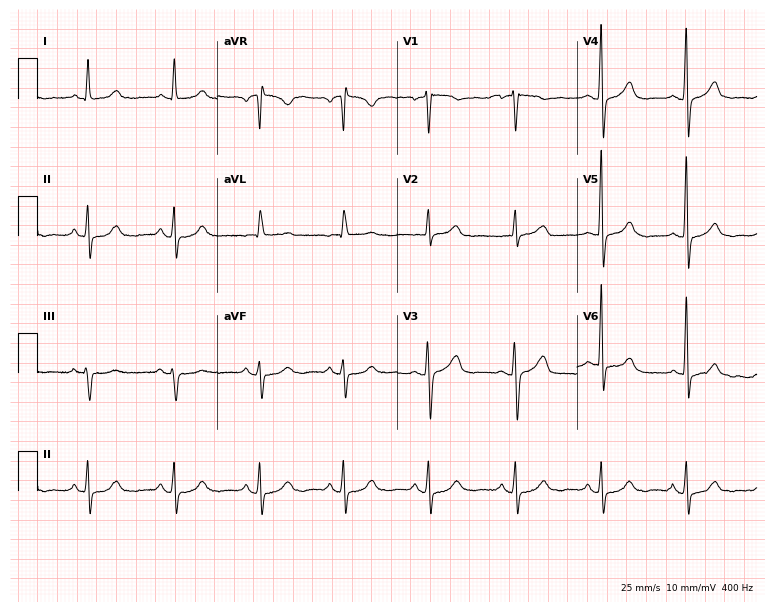
12-lead ECG from a 63-year-old woman. Labelled as a normal ECG.